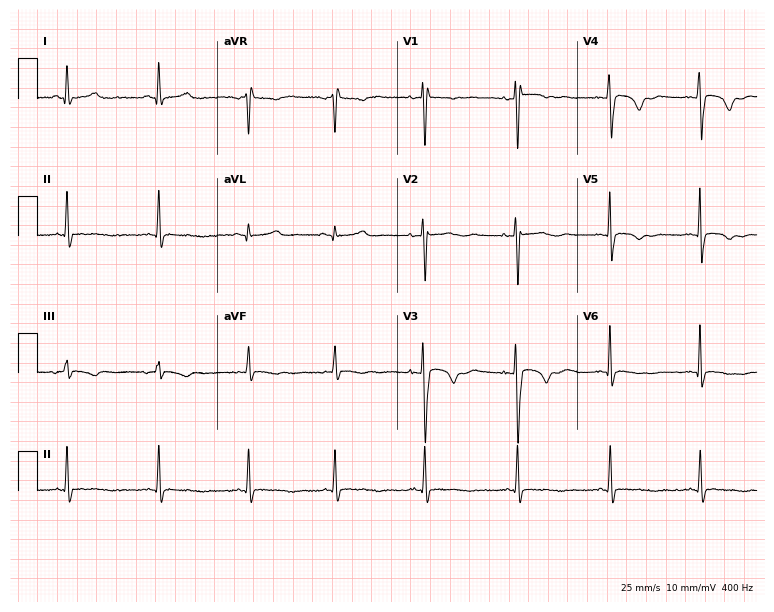
Electrocardiogram (7.3-second recording at 400 Hz), a female, 49 years old. Of the six screened findings (first-degree AV block, right bundle branch block (RBBB), left bundle branch block (LBBB), sinus bradycardia, atrial fibrillation (AF), sinus tachycardia), none is recorded.